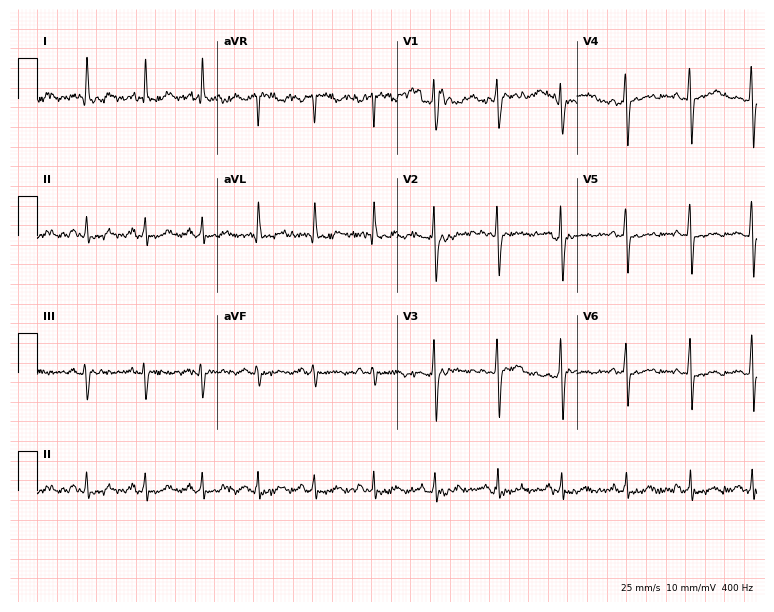
Resting 12-lead electrocardiogram (7.3-second recording at 400 Hz). Patient: a 42-year-old woman. None of these six findings is recorded: first-degree AV block, right bundle branch block, left bundle branch block, sinus bradycardia, atrial fibrillation, sinus tachycardia. Only these six findings were labelled.